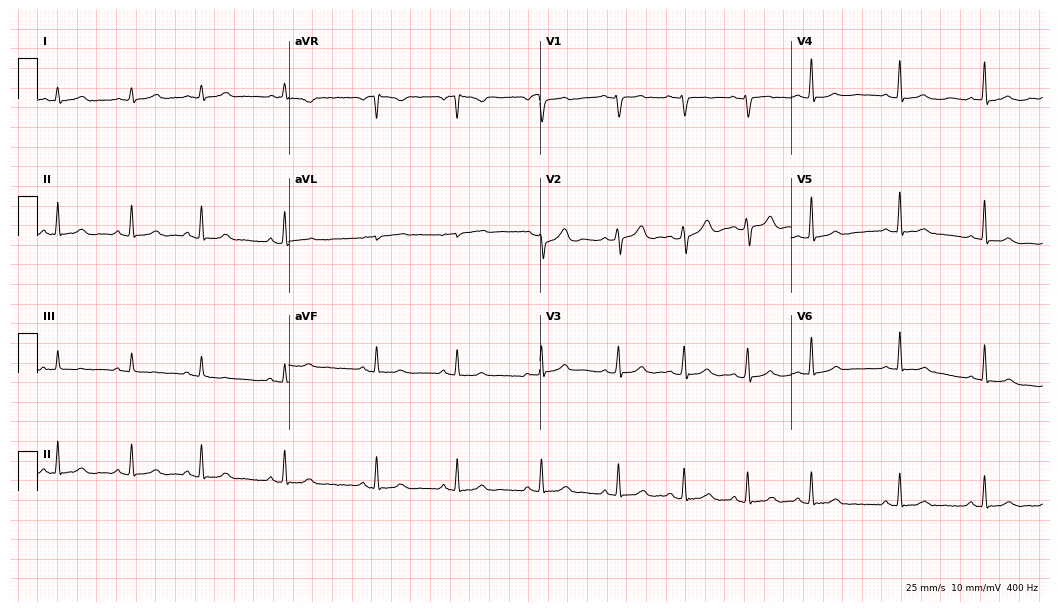
ECG — a female, 22 years old. Labelled as a normal ECG.